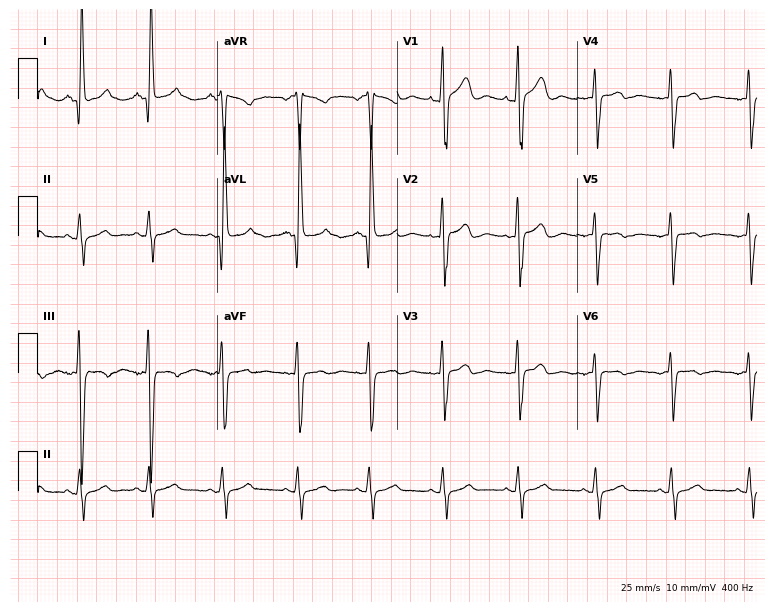
Standard 12-lead ECG recorded from a 19-year-old man. None of these six findings is recorded: first-degree AV block, right bundle branch block, left bundle branch block, sinus bradycardia, atrial fibrillation, sinus tachycardia. Only these six findings were labelled.